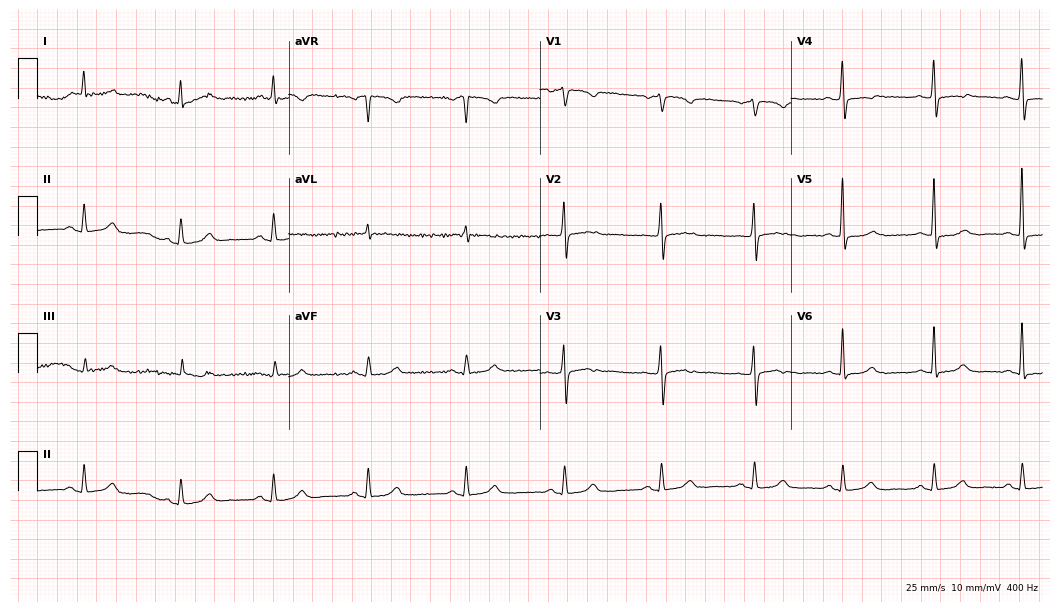
Standard 12-lead ECG recorded from a 60-year-old woman (10.2-second recording at 400 Hz). Read as a normal ECG.